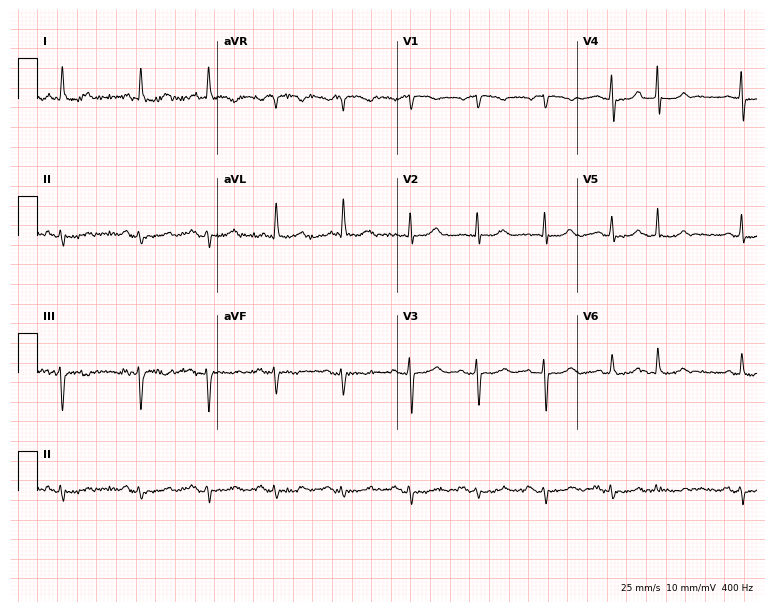
Electrocardiogram (7.3-second recording at 400 Hz), an 85-year-old woman. Of the six screened findings (first-degree AV block, right bundle branch block, left bundle branch block, sinus bradycardia, atrial fibrillation, sinus tachycardia), none is recorded.